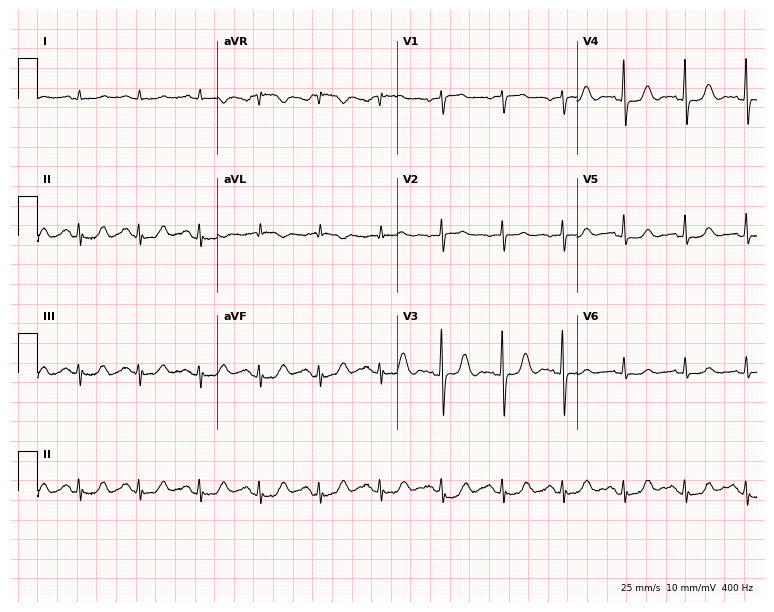
Standard 12-lead ECG recorded from a female patient, 56 years old (7.3-second recording at 400 Hz). None of these six findings is recorded: first-degree AV block, right bundle branch block (RBBB), left bundle branch block (LBBB), sinus bradycardia, atrial fibrillation (AF), sinus tachycardia.